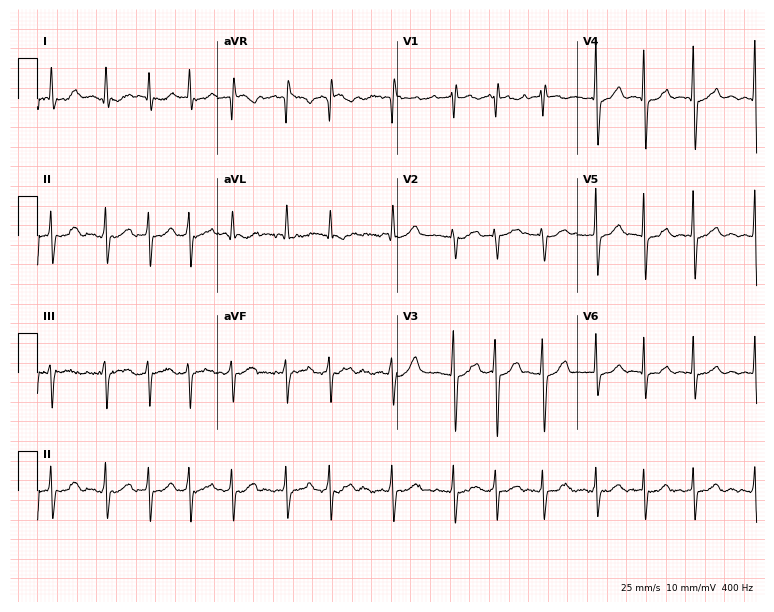
Electrocardiogram, a female, 78 years old. Interpretation includes atrial fibrillation (AF).